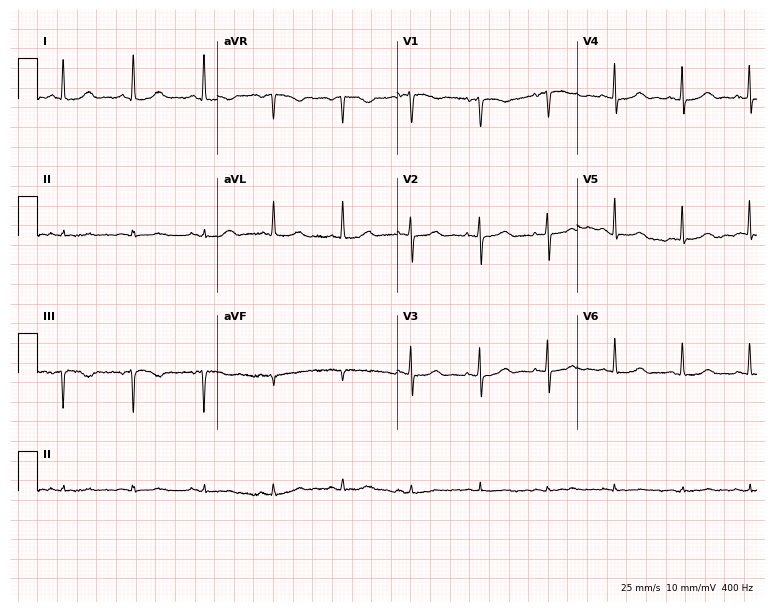
12-lead ECG from a female patient, 74 years old. Recorded interpretation: within normal limits.